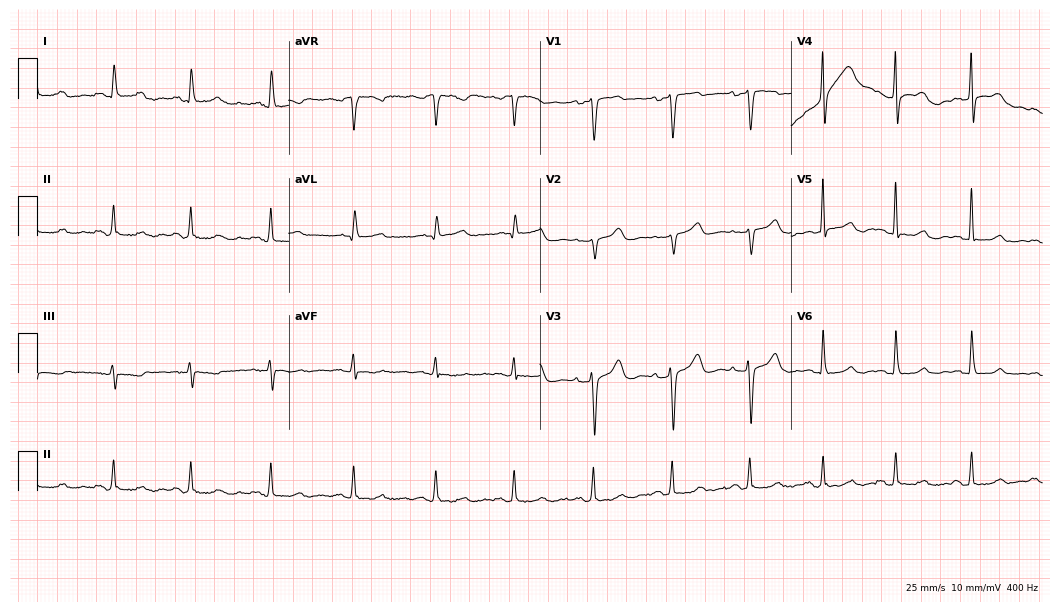
12-lead ECG from a woman, 67 years old (10.2-second recording at 400 Hz). No first-degree AV block, right bundle branch block (RBBB), left bundle branch block (LBBB), sinus bradycardia, atrial fibrillation (AF) or sinus tachycardia recorded for this tracing.